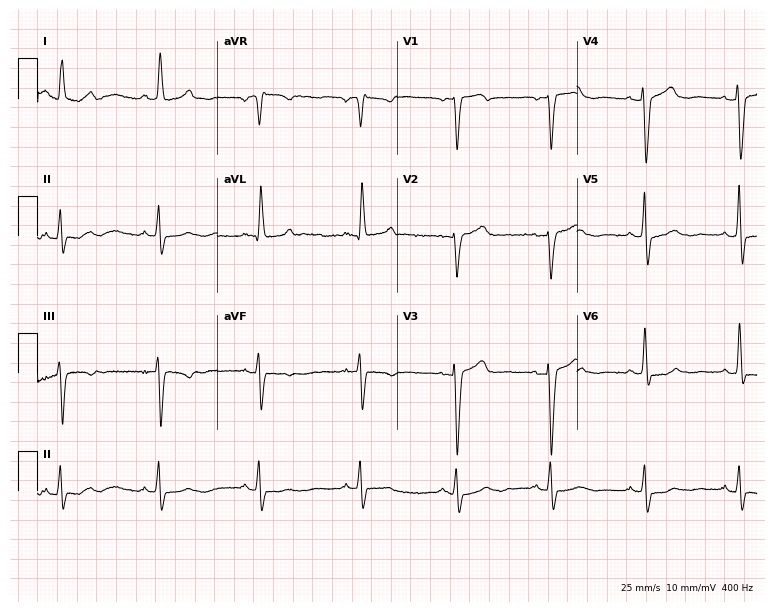
Electrocardiogram, a 69-year-old female. Of the six screened findings (first-degree AV block, right bundle branch block (RBBB), left bundle branch block (LBBB), sinus bradycardia, atrial fibrillation (AF), sinus tachycardia), none is recorded. Other findings, if any, are not listed.